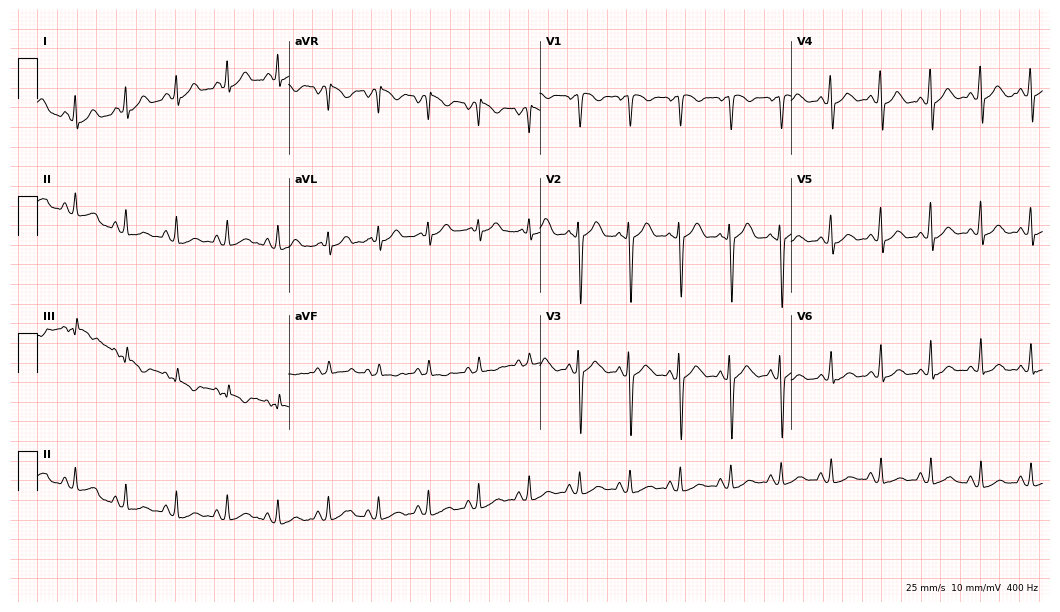
Resting 12-lead electrocardiogram (10.2-second recording at 400 Hz). Patient: a woman, 33 years old. The tracing shows sinus tachycardia (a sinus rate of 100 beats per minute or more).